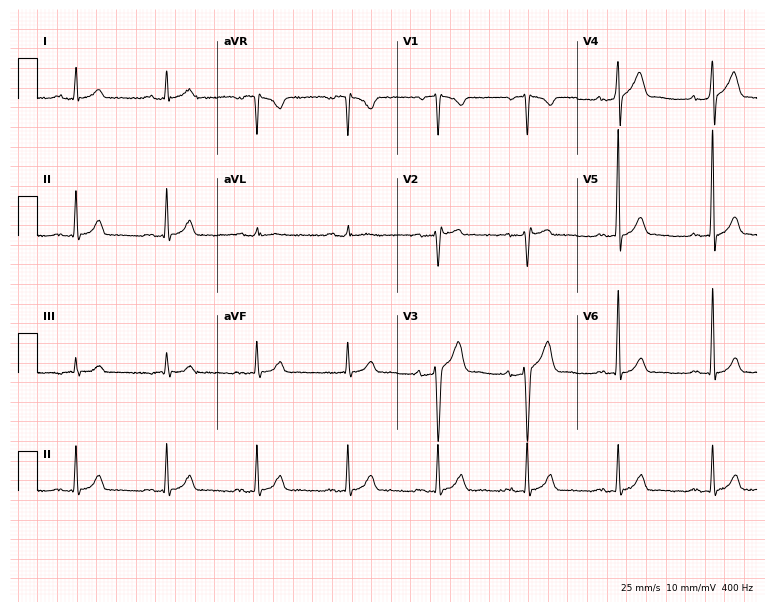
Electrocardiogram, a 44-year-old male. Of the six screened findings (first-degree AV block, right bundle branch block, left bundle branch block, sinus bradycardia, atrial fibrillation, sinus tachycardia), none is recorded.